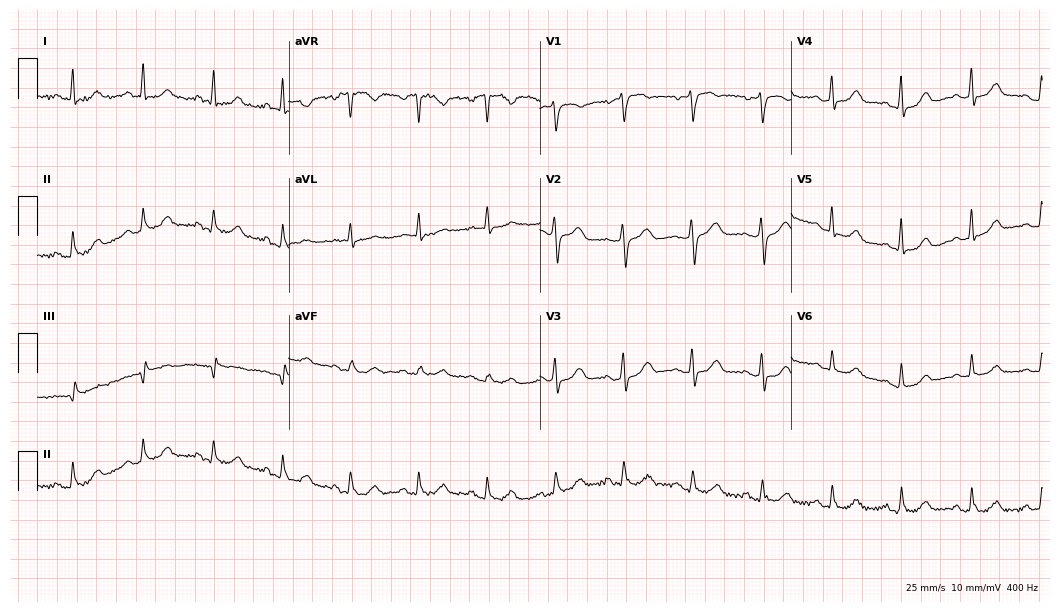
Resting 12-lead electrocardiogram. Patient: a female, 65 years old. Read as a normal ECG.